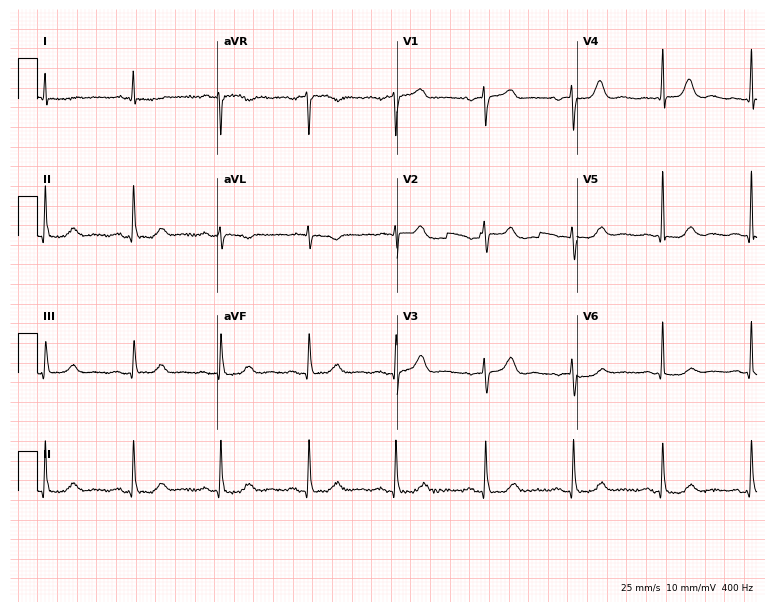
Standard 12-lead ECG recorded from a 79-year-old woman. None of these six findings is recorded: first-degree AV block, right bundle branch block (RBBB), left bundle branch block (LBBB), sinus bradycardia, atrial fibrillation (AF), sinus tachycardia. Only these six findings were labelled.